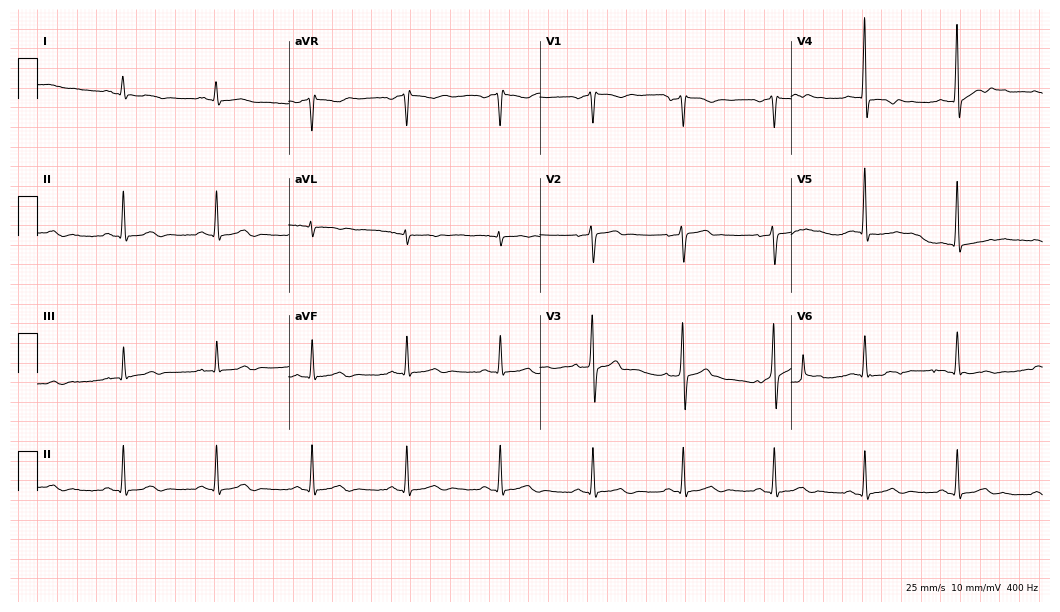
ECG — a man, 36 years old. Screened for six findings — first-degree AV block, right bundle branch block (RBBB), left bundle branch block (LBBB), sinus bradycardia, atrial fibrillation (AF), sinus tachycardia — none is recorded.